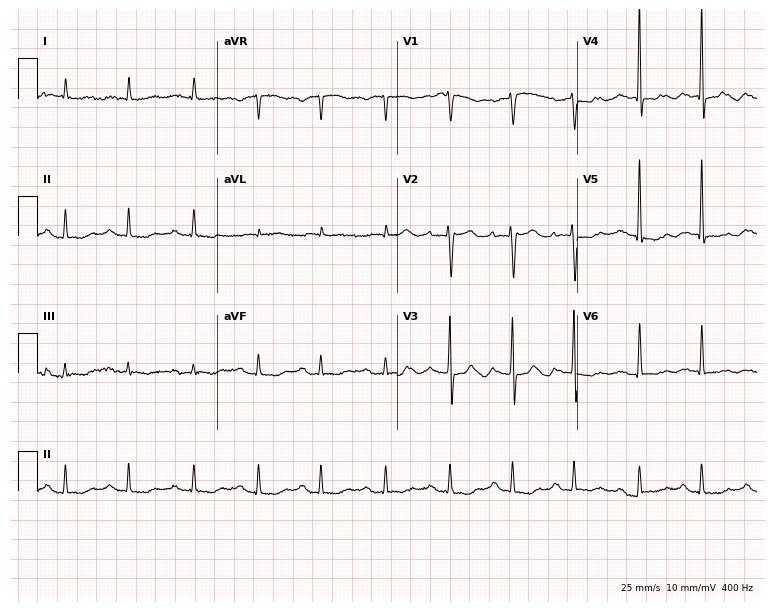
Resting 12-lead electrocardiogram. Patient: a woman, 70 years old. The tracing shows first-degree AV block.